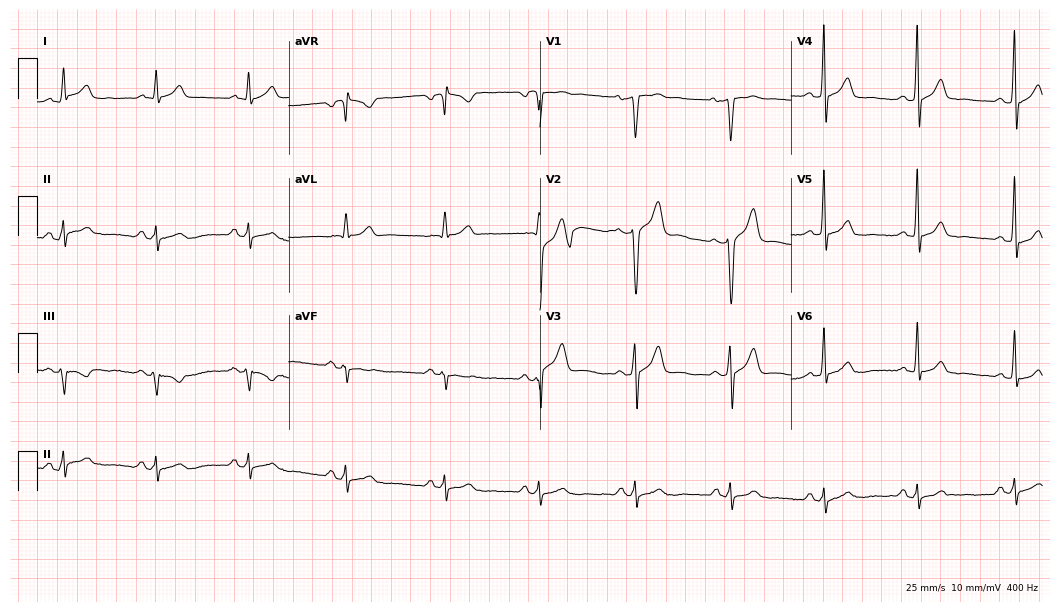
12-lead ECG from a 46-year-old male patient. Labelled as a normal ECG.